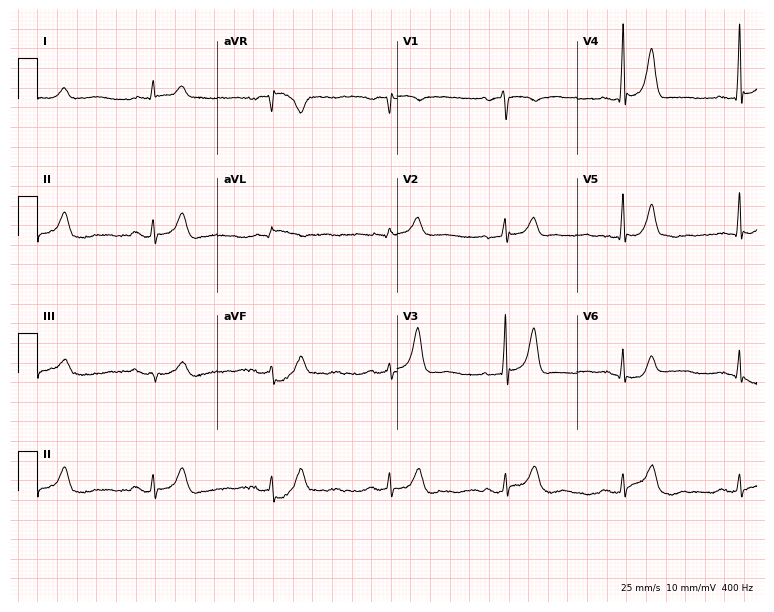
Electrocardiogram, a man, 82 years old. Overall reading on record: normal ECG.